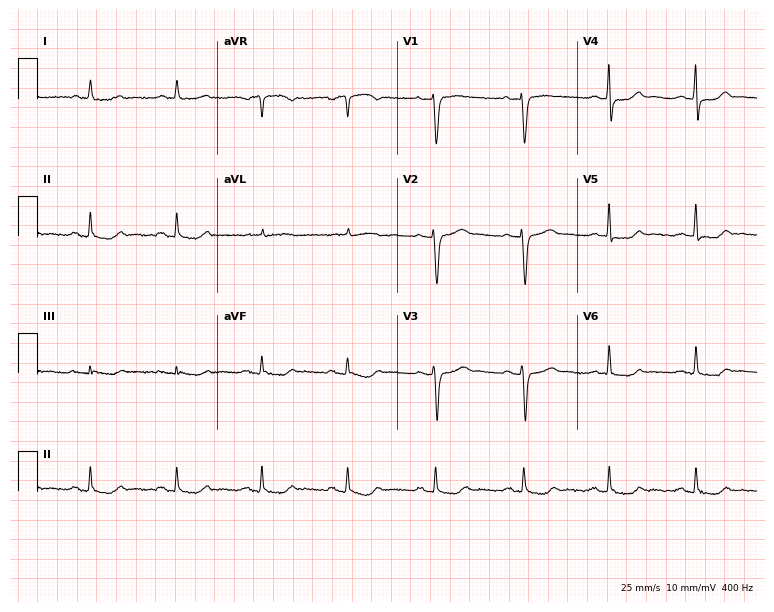
12-lead ECG from a female, 57 years old (7.3-second recording at 400 Hz). No first-degree AV block, right bundle branch block, left bundle branch block, sinus bradycardia, atrial fibrillation or sinus tachycardia recorded for this tracing.